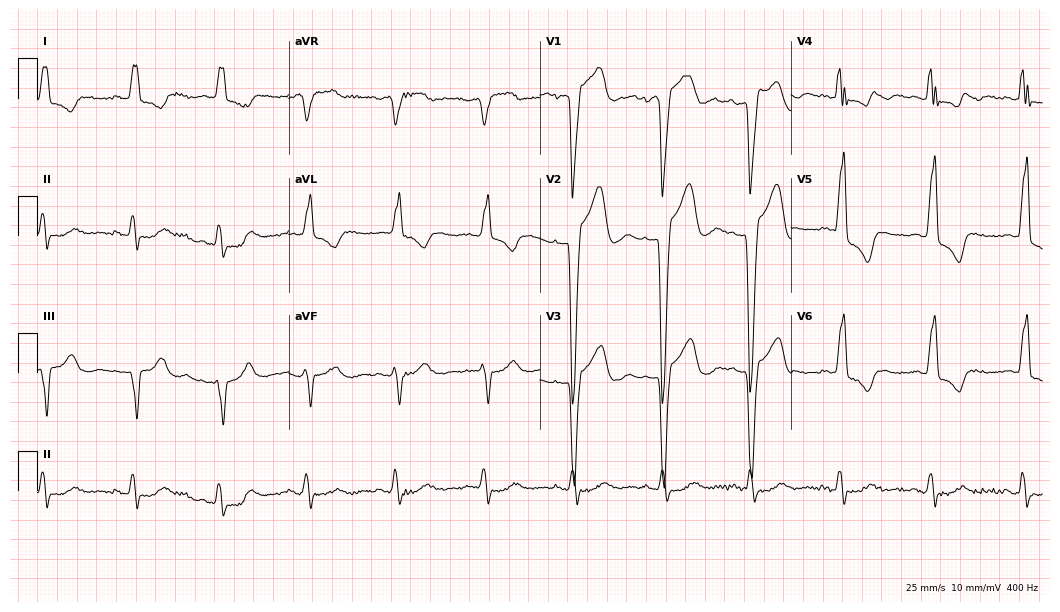
12-lead ECG (10.2-second recording at 400 Hz) from an 84-year-old woman. Findings include left bundle branch block.